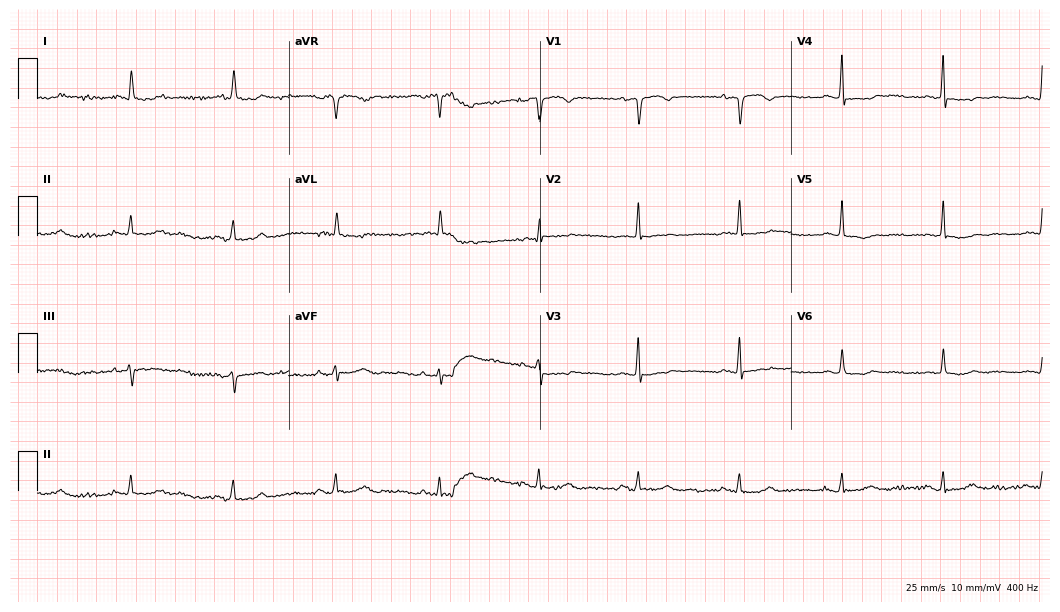
Standard 12-lead ECG recorded from a 75-year-old female patient. None of these six findings is recorded: first-degree AV block, right bundle branch block, left bundle branch block, sinus bradycardia, atrial fibrillation, sinus tachycardia.